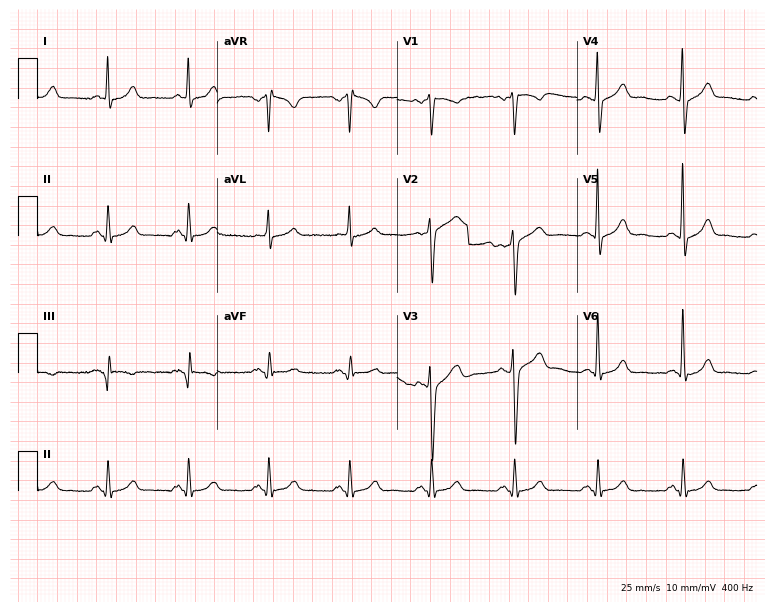
12-lead ECG from a 53-year-old male. Screened for six findings — first-degree AV block, right bundle branch block, left bundle branch block, sinus bradycardia, atrial fibrillation, sinus tachycardia — none is recorded. Only these six findings were labelled.